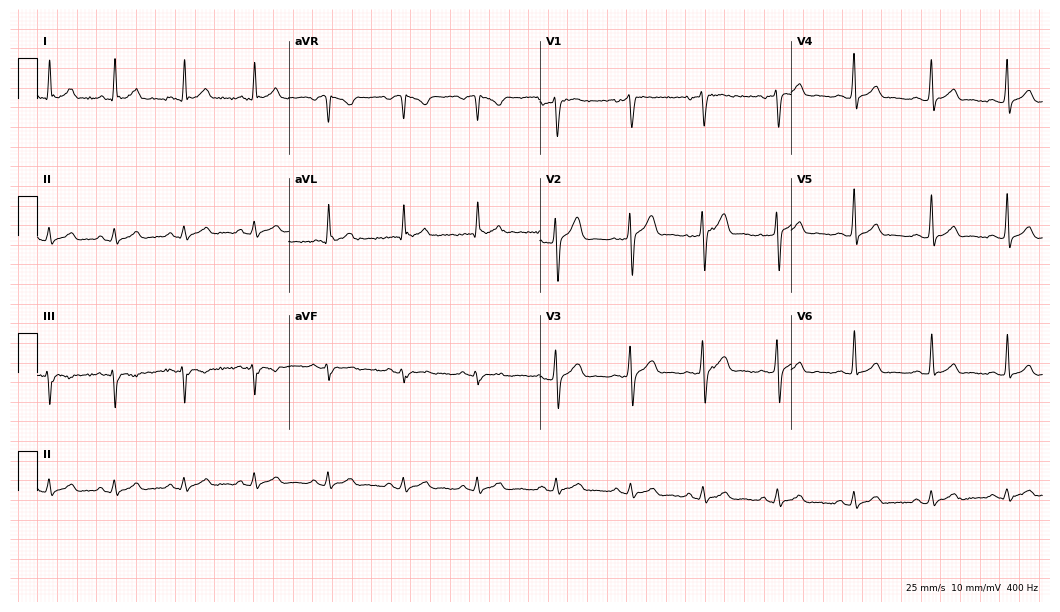
Standard 12-lead ECG recorded from a man, 33 years old (10.2-second recording at 400 Hz). None of these six findings is recorded: first-degree AV block, right bundle branch block, left bundle branch block, sinus bradycardia, atrial fibrillation, sinus tachycardia. Only these six findings were labelled.